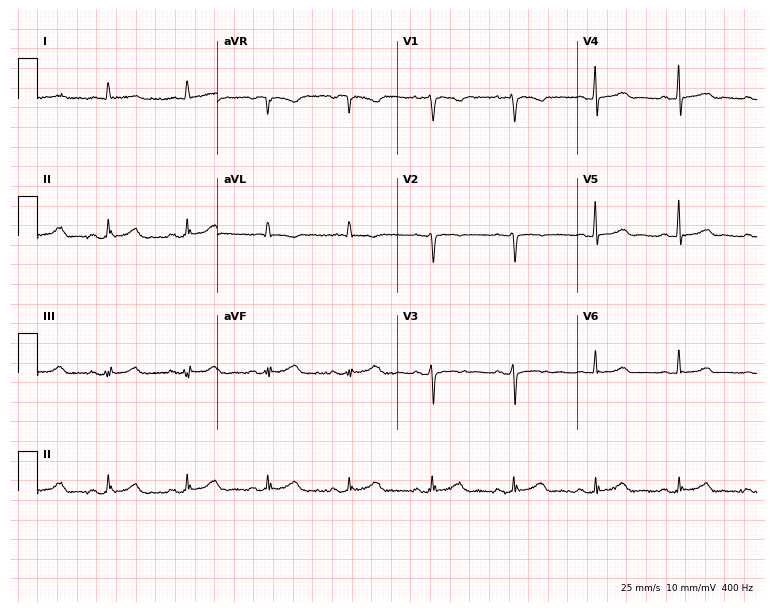
Resting 12-lead electrocardiogram. Patient: a male, 73 years old. Read as a normal ECG.